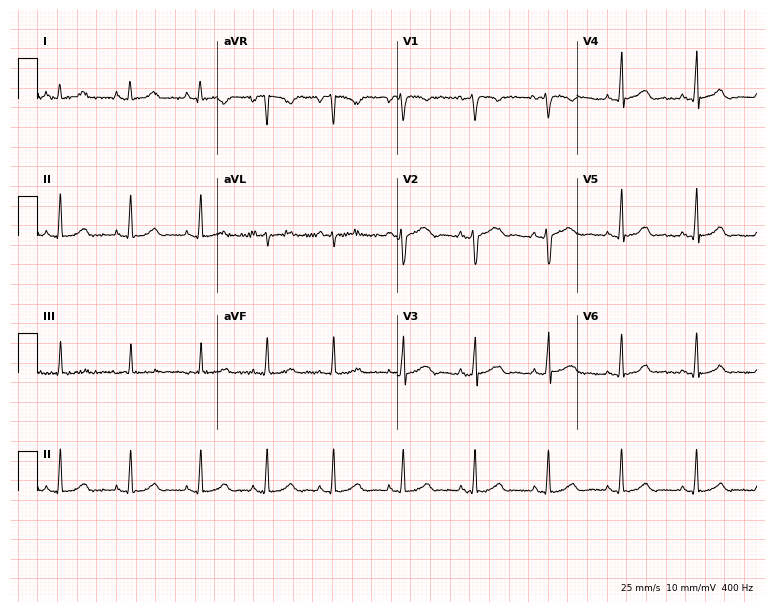
12-lead ECG from a 23-year-old woman. Recorded interpretation: within normal limits.